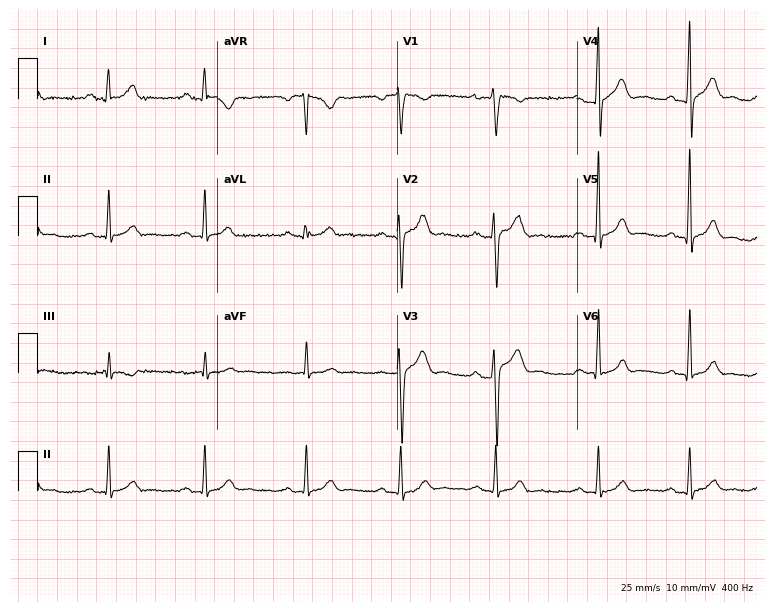
Standard 12-lead ECG recorded from a male, 27 years old (7.3-second recording at 400 Hz). Read as a normal ECG.